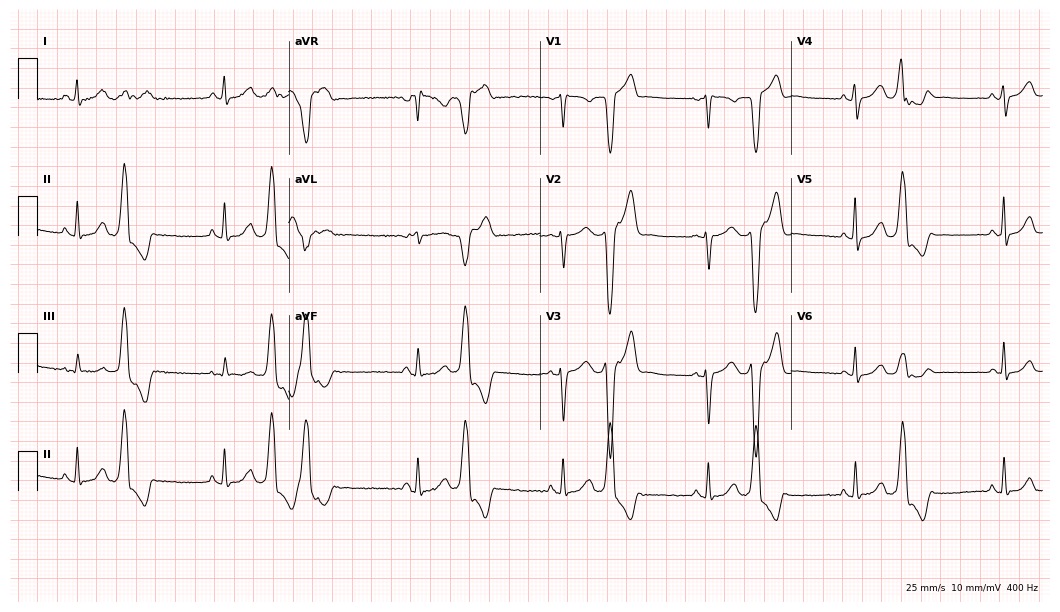
ECG (10.2-second recording at 400 Hz) — a 44-year-old woman. Labelled as a normal ECG.